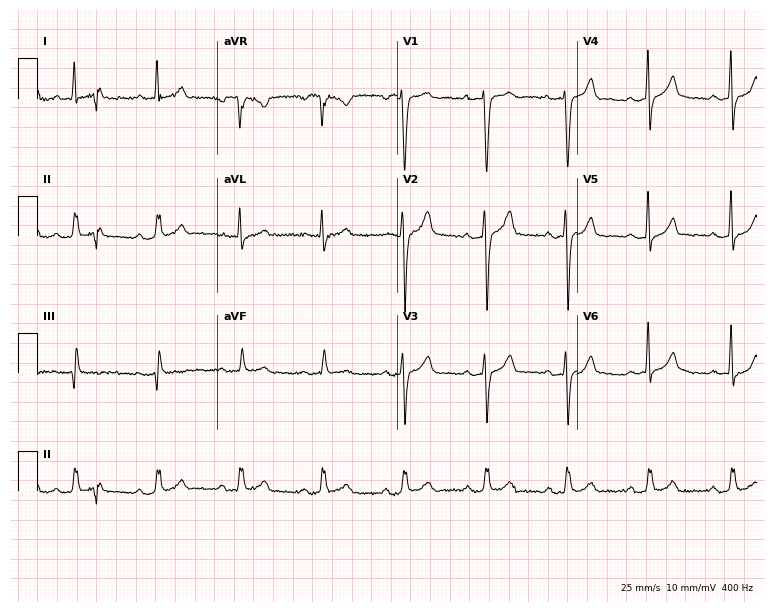
ECG — a male patient, 64 years old. Labelled as a normal ECG.